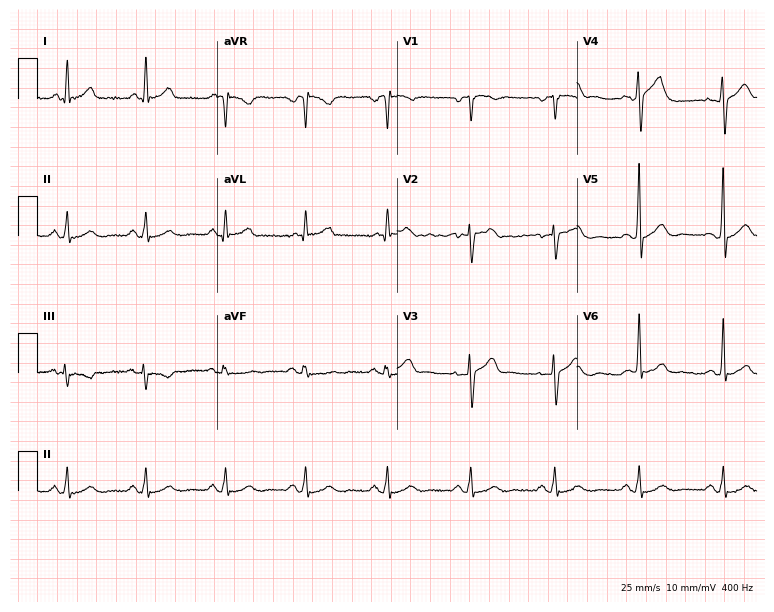
12-lead ECG from a 54-year-old male patient. Labelled as a normal ECG.